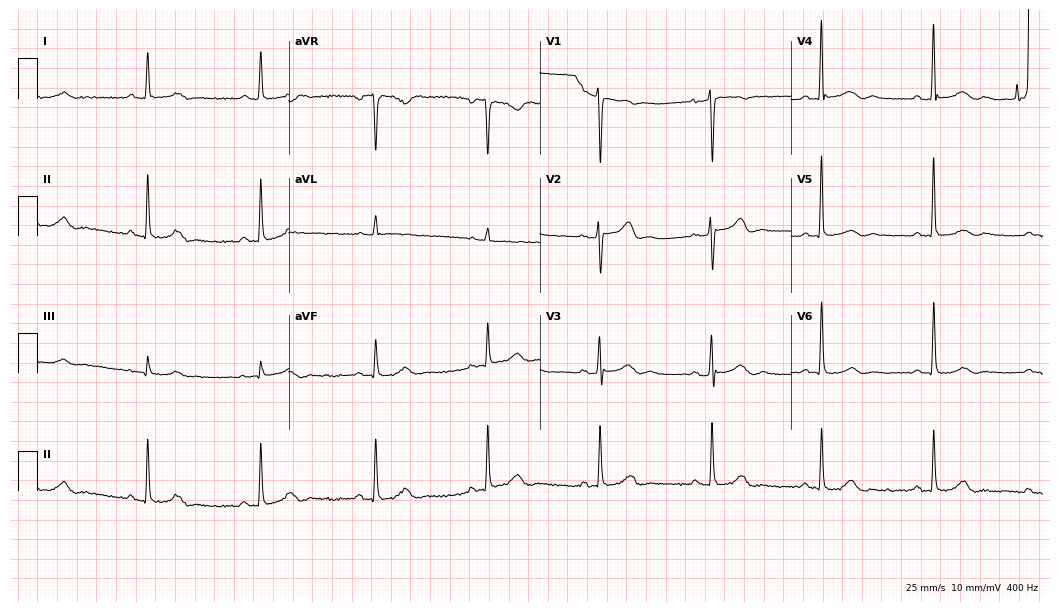
12-lead ECG (10.2-second recording at 400 Hz) from a woman, 79 years old. Labelled as a normal ECG.